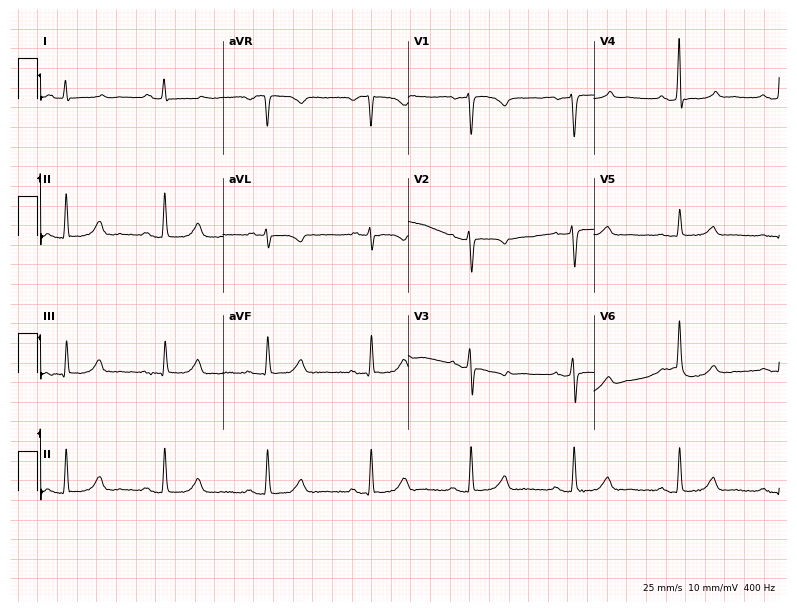
ECG — a female, 58 years old. Labelled as a normal ECG.